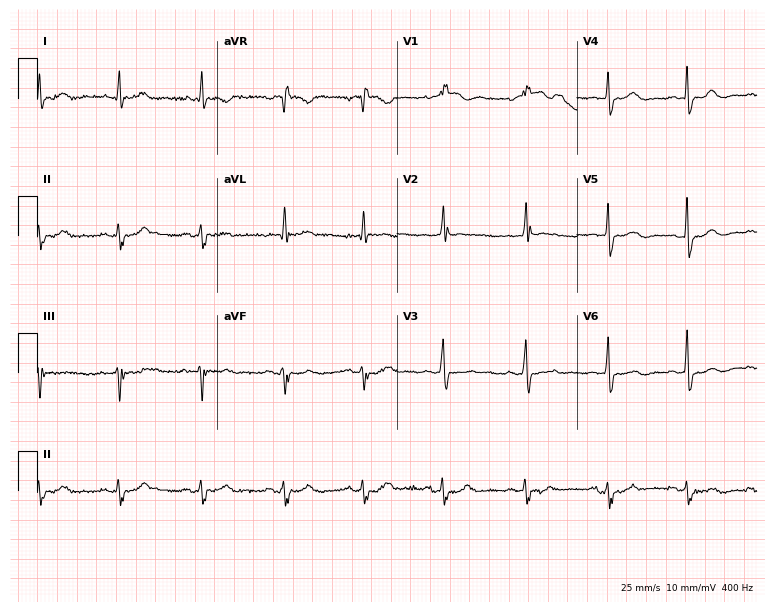
12-lead ECG from a 57-year-old female patient. Screened for six findings — first-degree AV block, right bundle branch block (RBBB), left bundle branch block (LBBB), sinus bradycardia, atrial fibrillation (AF), sinus tachycardia — none is recorded. Other findings, if any, are not listed.